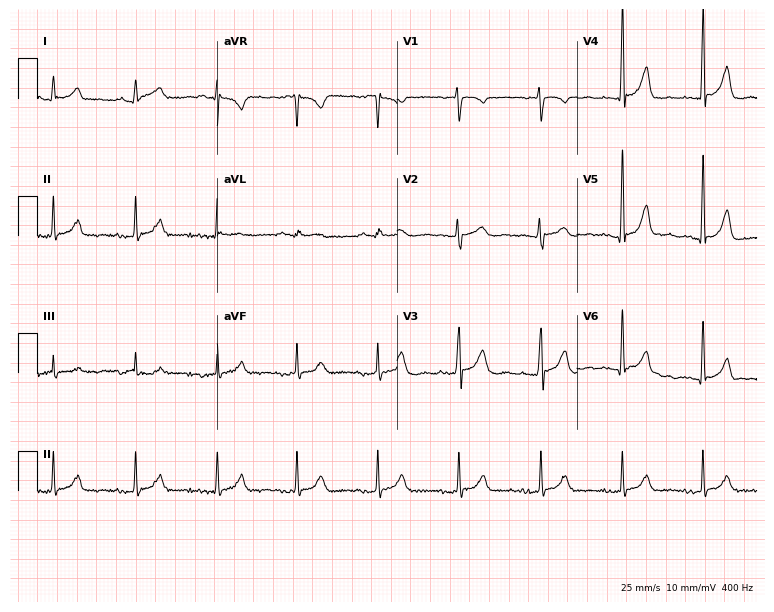
12-lead ECG (7.3-second recording at 400 Hz) from a male patient, 46 years old. Labelled as a normal ECG.